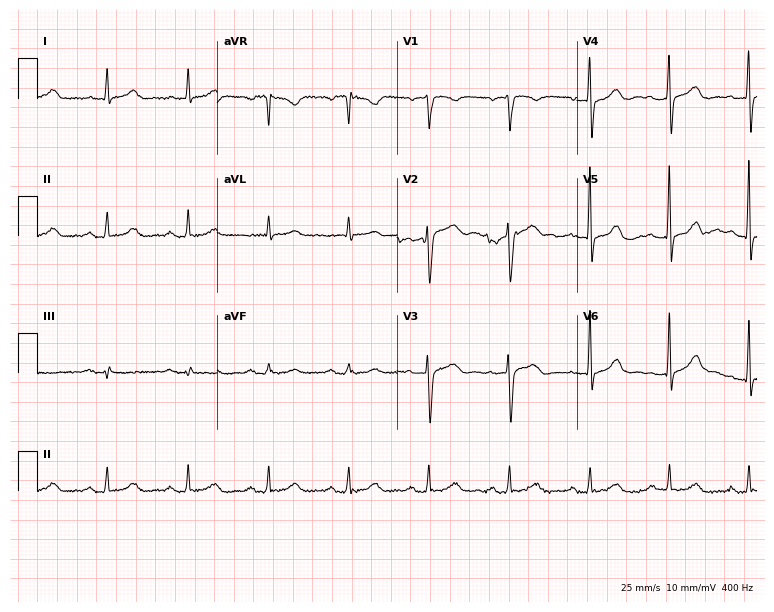
ECG (7.3-second recording at 400 Hz) — a 65-year-old male patient. Labelled as a normal ECG.